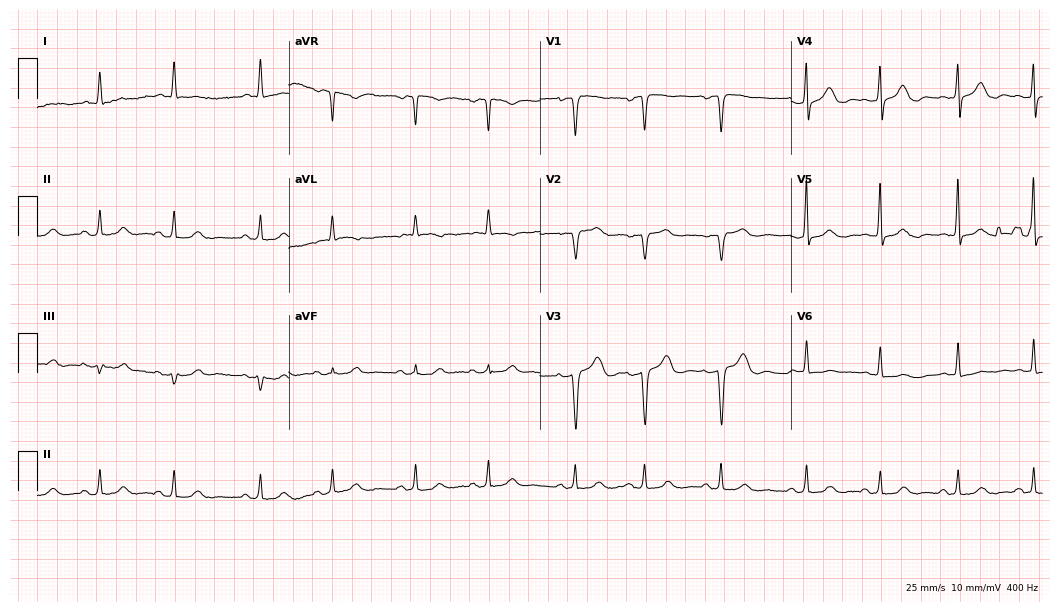
12-lead ECG (10.2-second recording at 400 Hz) from a woman, 68 years old. Labelled as a normal ECG.